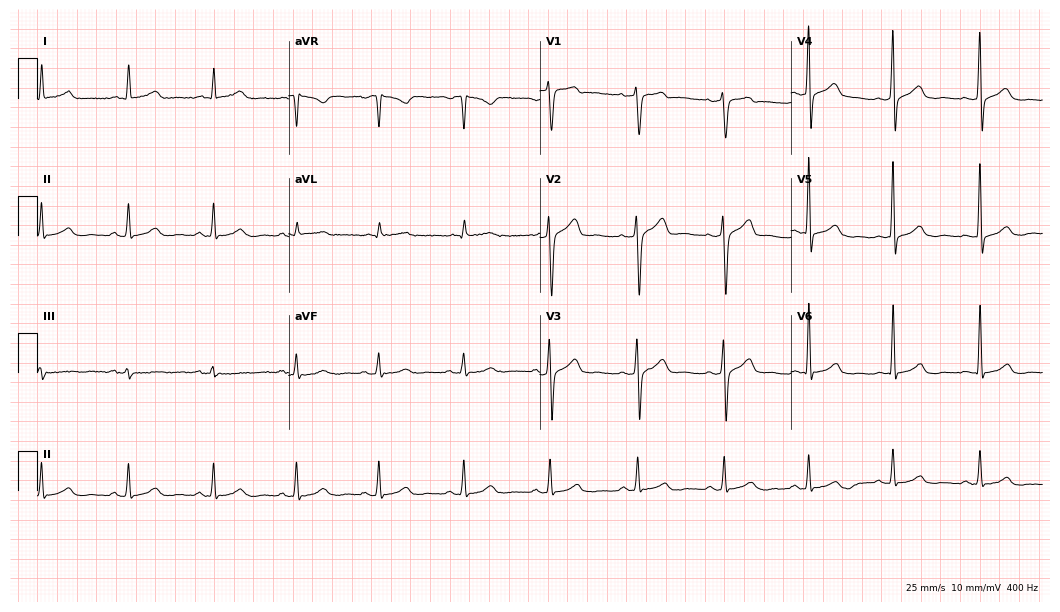
ECG (10.2-second recording at 400 Hz) — a male, 37 years old. Labelled as a normal ECG.